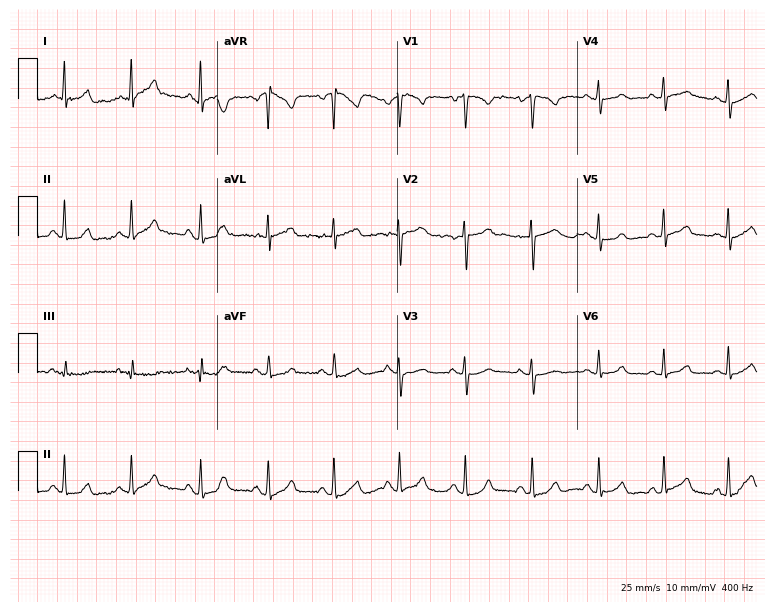
Electrocardiogram, a female, 37 years old. Overall reading on record: normal ECG.